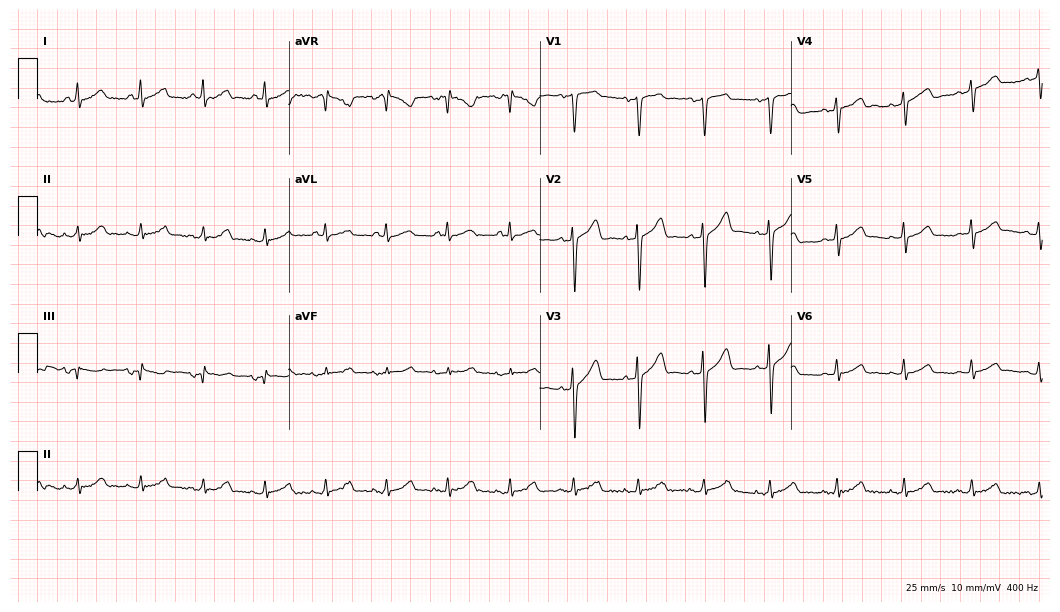
ECG (10.2-second recording at 400 Hz) — a female patient, 61 years old. Labelled as a normal ECG.